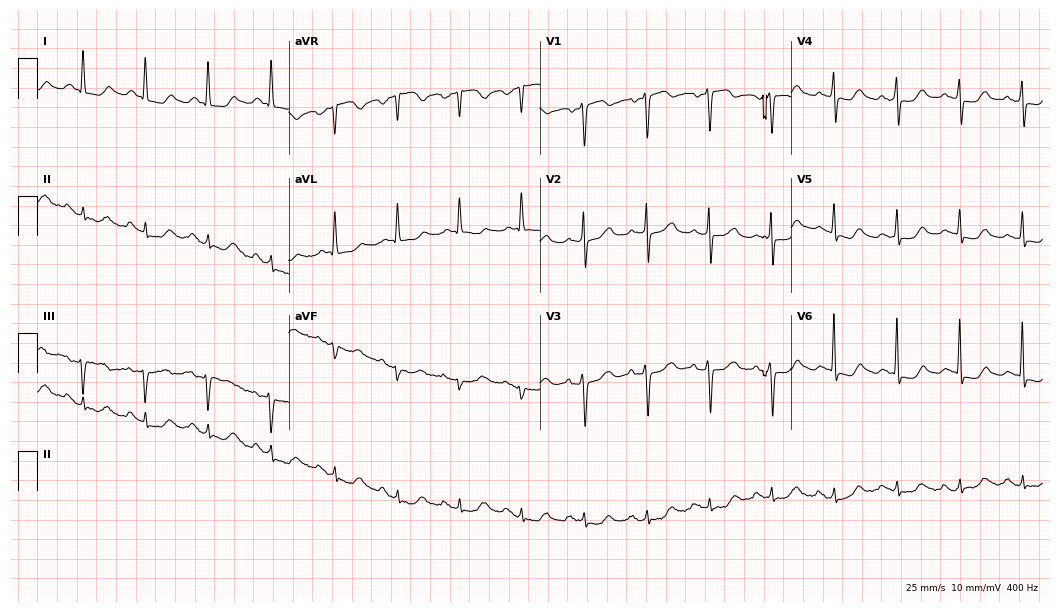
ECG (10.2-second recording at 400 Hz) — a female, 84 years old. Screened for six findings — first-degree AV block, right bundle branch block, left bundle branch block, sinus bradycardia, atrial fibrillation, sinus tachycardia — none is recorded. Other findings, if any, are not listed.